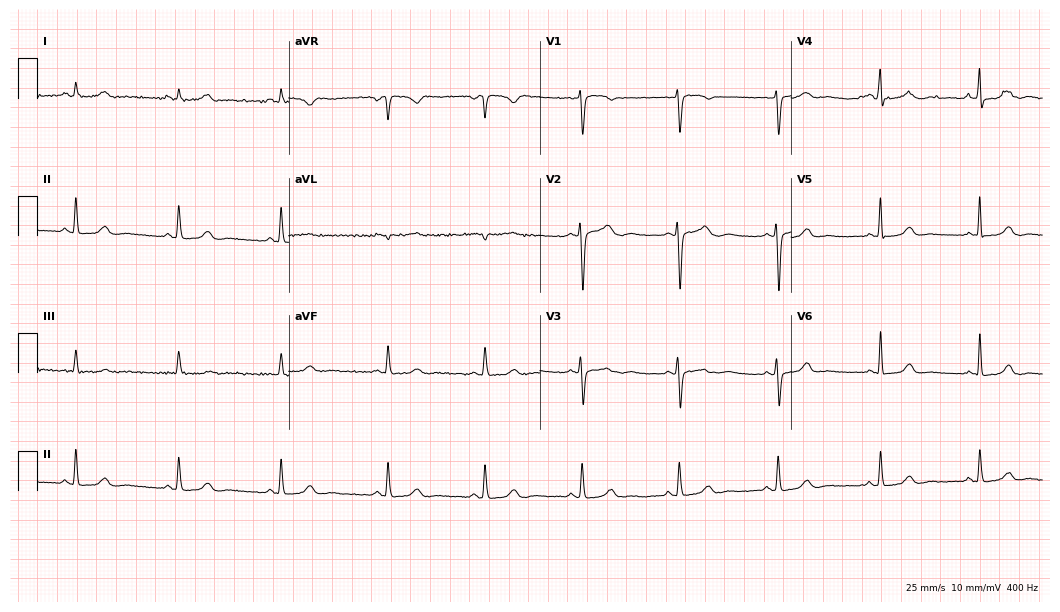
12-lead ECG from a female patient, 43 years old. Recorded interpretation: within normal limits.